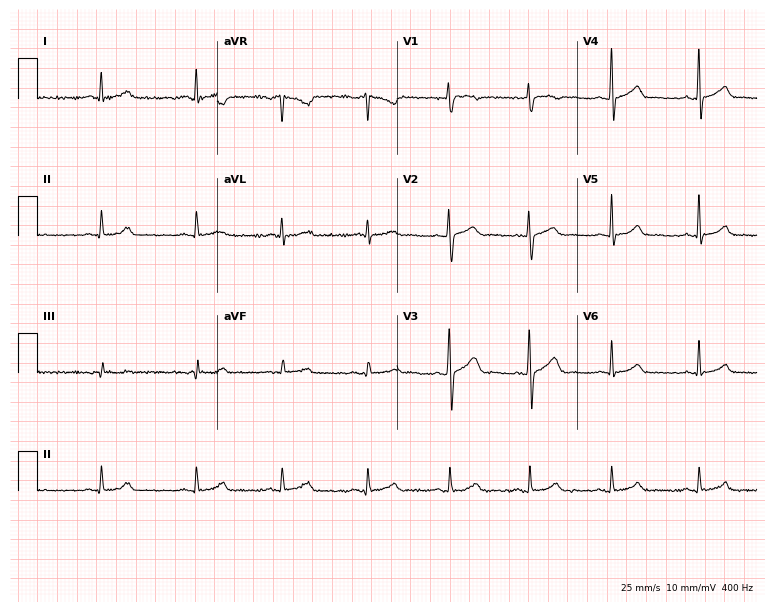
Resting 12-lead electrocardiogram (7.3-second recording at 400 Hz). Patient: a male, 39 years old. Read as a normal ECG.